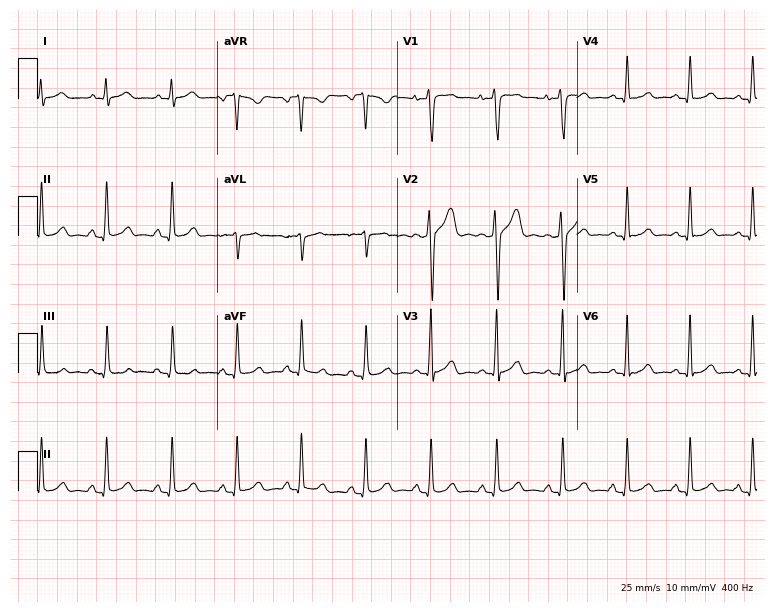
ECG (7.3-second recording at 400 Hz) — a man, 22 years old. Labelled as a normal ECG.